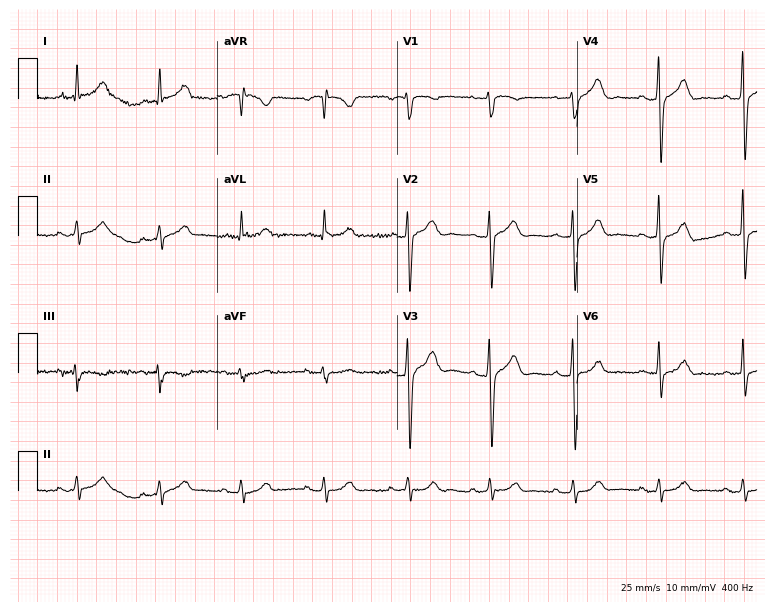
ECG (7.3-second recording at 400 Hz) — a male patient, 54 years old. Labelled as a normal ECG.